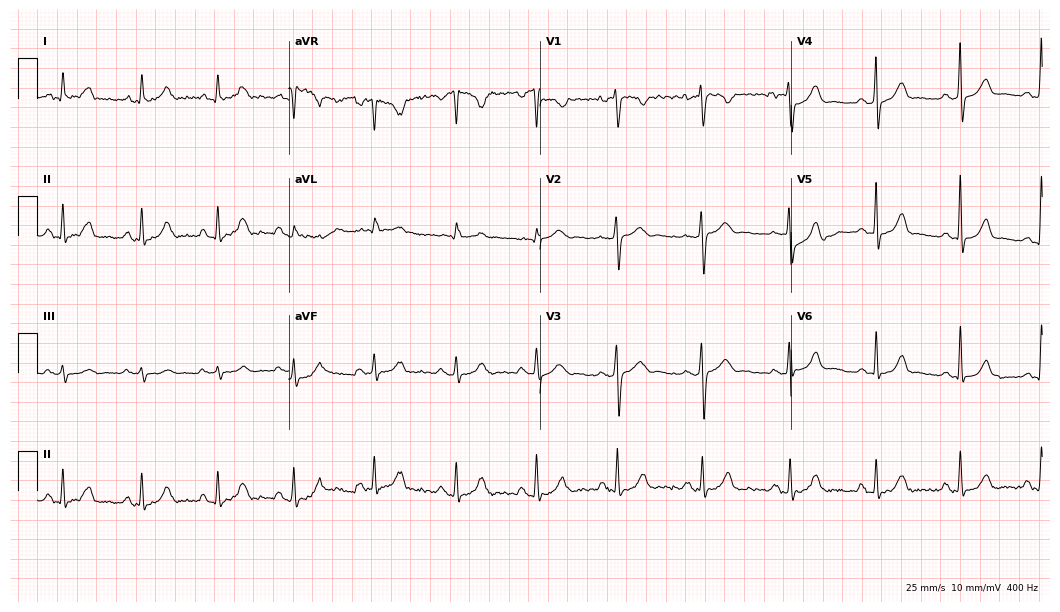
Standard 12-lead ECG recorded from a woman, 44 years old (10.2-second recording at 400 Hz). Read as a normal ECG.